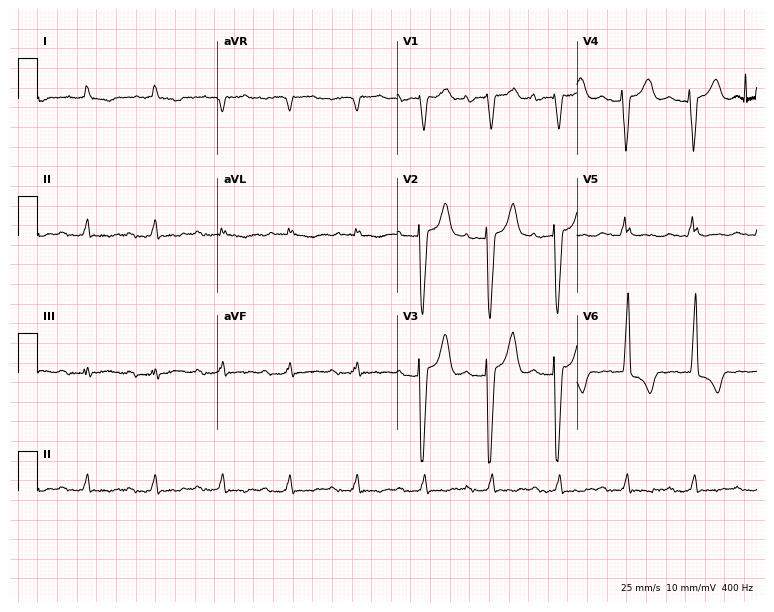
ECG — a male, 80 years old. Findings include first-degree AV block.